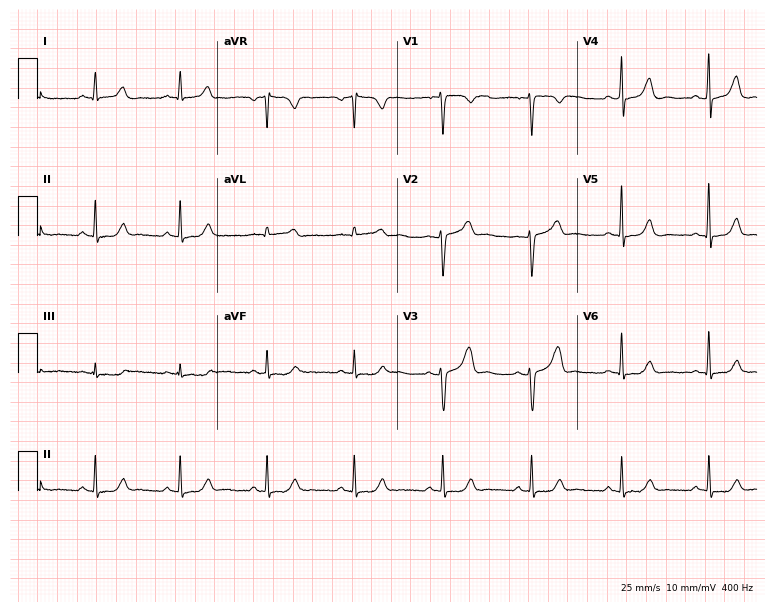
12-lead ECG (7.3-second recording at 400 Hz) from a woman, 43 years old. Labelled as a normal ECG.